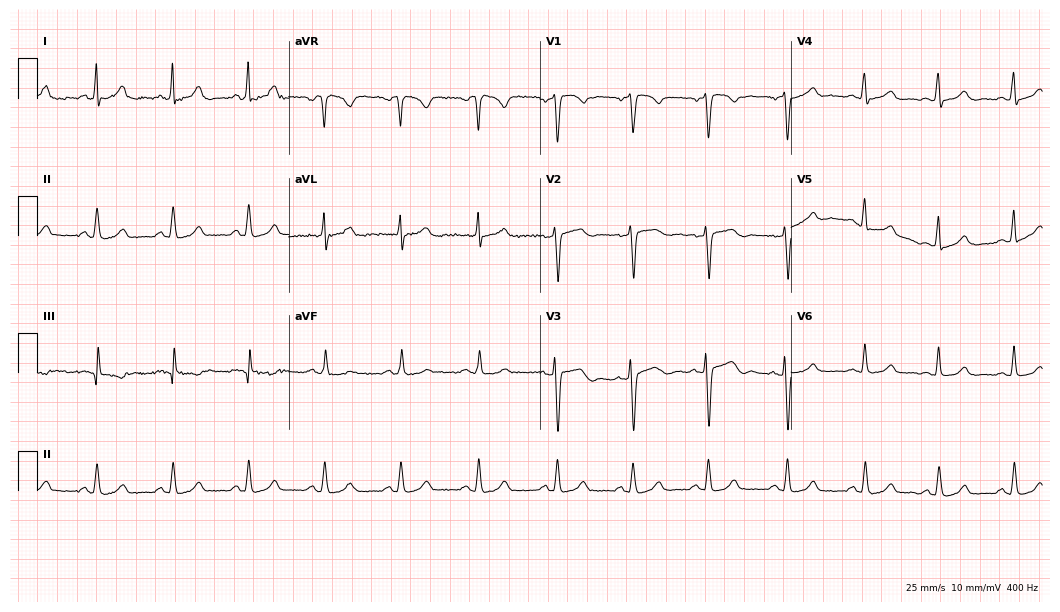
Resting 12-lead electrocardiogram (10.2-second recording at 400 Hz). Patient: a female, 50 years old. Read as a normal ECG.